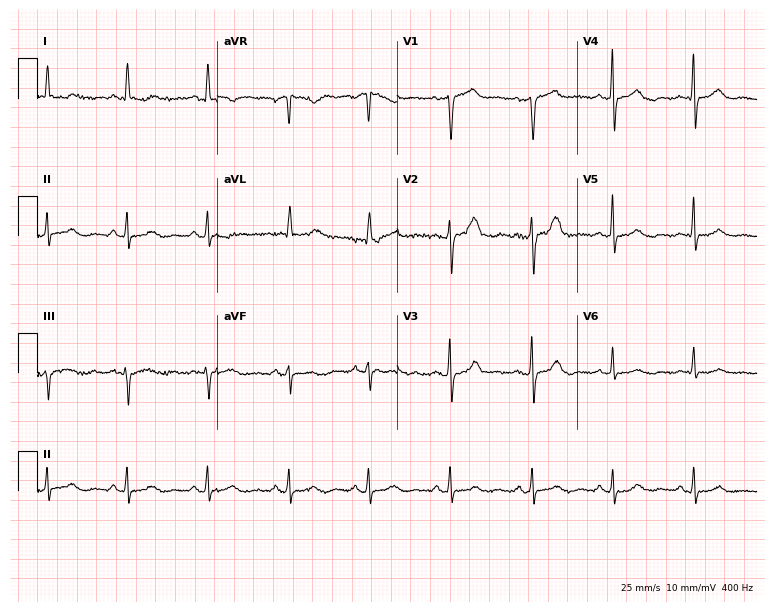
Resting 12-lead electrocardiogram. Patient: a woman, 70 years old. None of these six findings is recorded: first-degree AV block, right bundle branch block, left bundle branch block, sinus bradycardia, atrial fibrillation, sinus tachycardia.